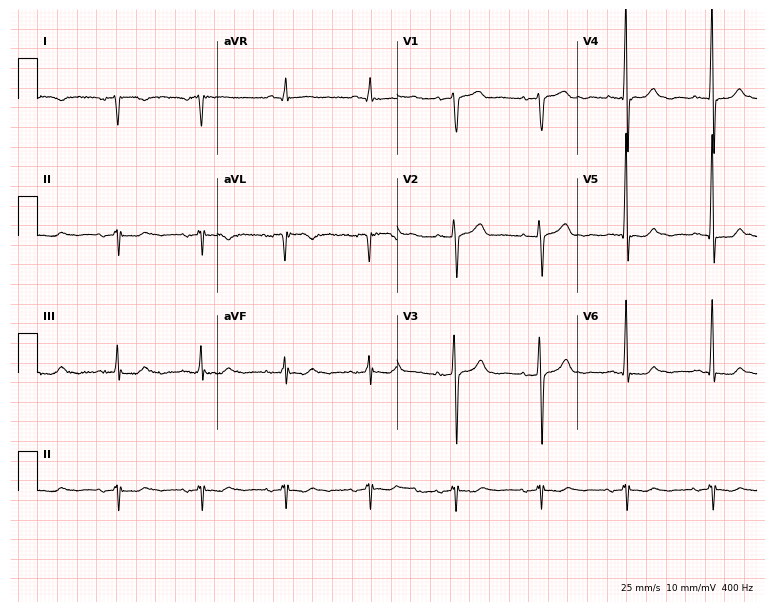
Electrocardiogram, a man, 83 years old. Of the six screened findings (first-degree AV block, right bundle branch block, left bundle branch block, sinus bradycardia, atrial fibrillation, sinus tachycardia), none is recorded.